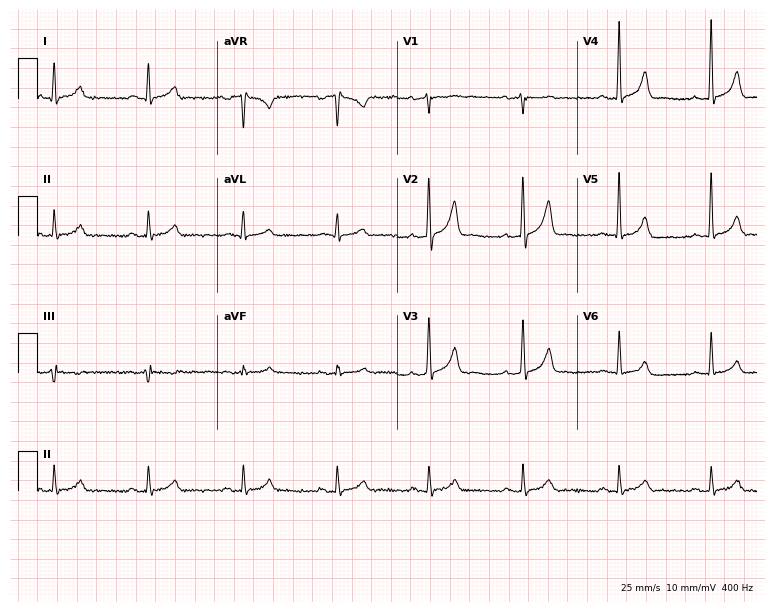
Resting 12-lead electrocardiogram. Patient: a 49-year-old man. None of these six findings is recorded: first-degree AV block, right bundle branch block, left bundle branch block, sinus bradycardia, atrial fibrillation, sinus tachycardia. Other findings, if any, are not listed.